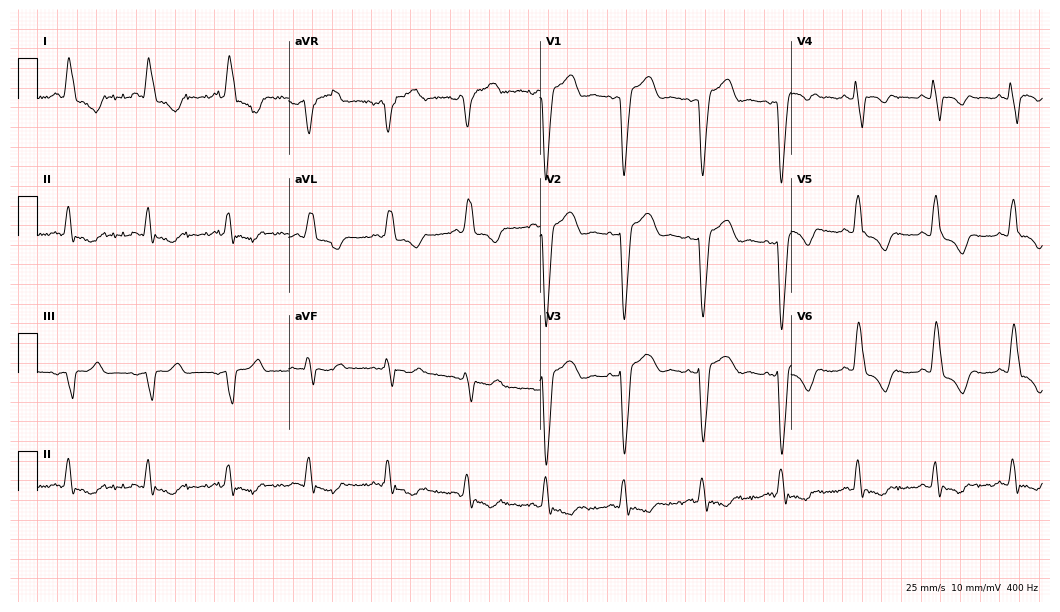
12-lead ECG (10.2-second recording at 400 Hz) from a man, 58 years old. Findings include left bundle branch block.